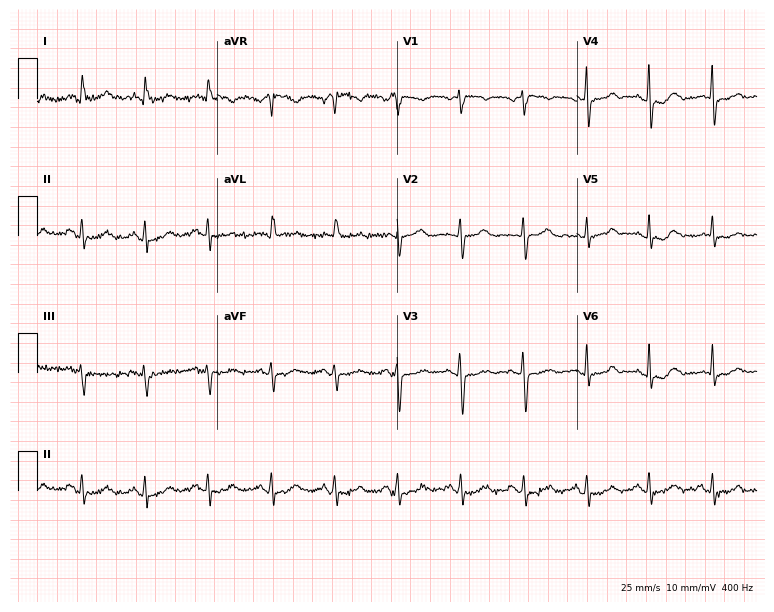
Resting 12-lead electrocardiogram. Patient: a female, 61 years old. Read as a normal ECG.